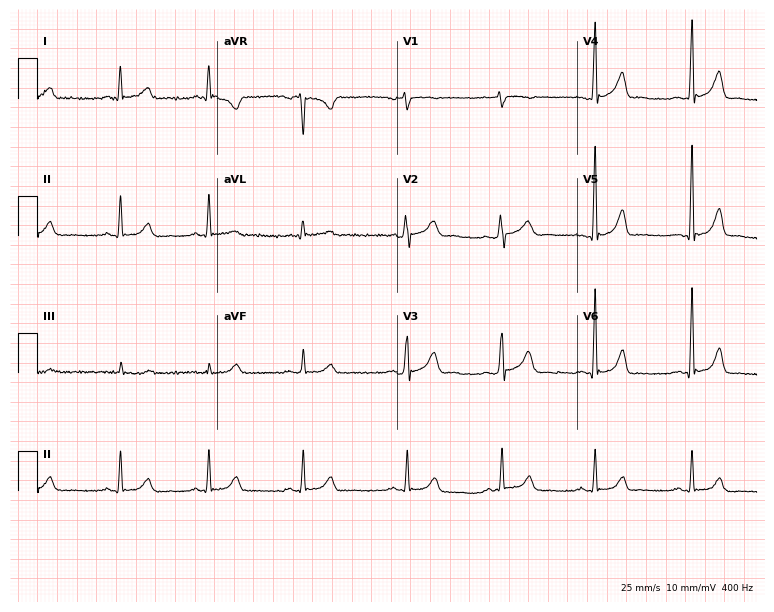
12-lead ECG from a female patient, 46 years old. Recorded interpretation: within normal limits.